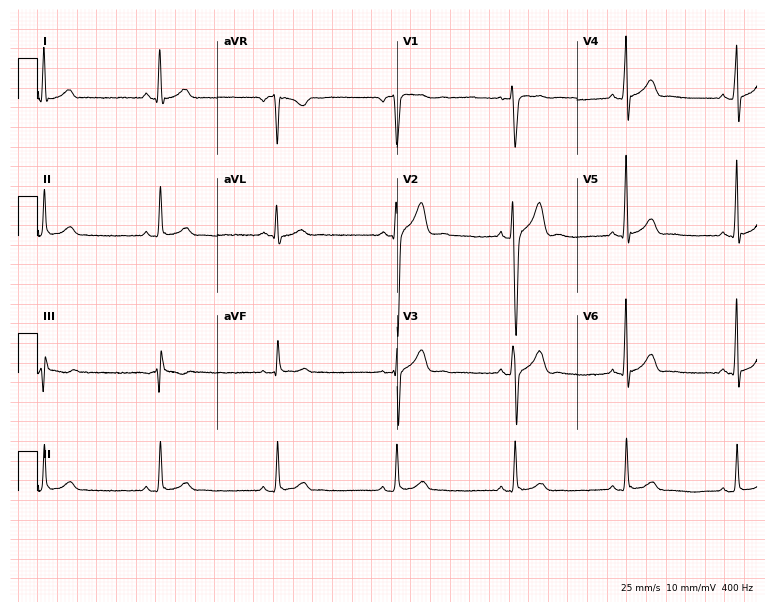
Standard 12-lead ECG recorded from a 27-year-old male patient. Read as a normal ECG.